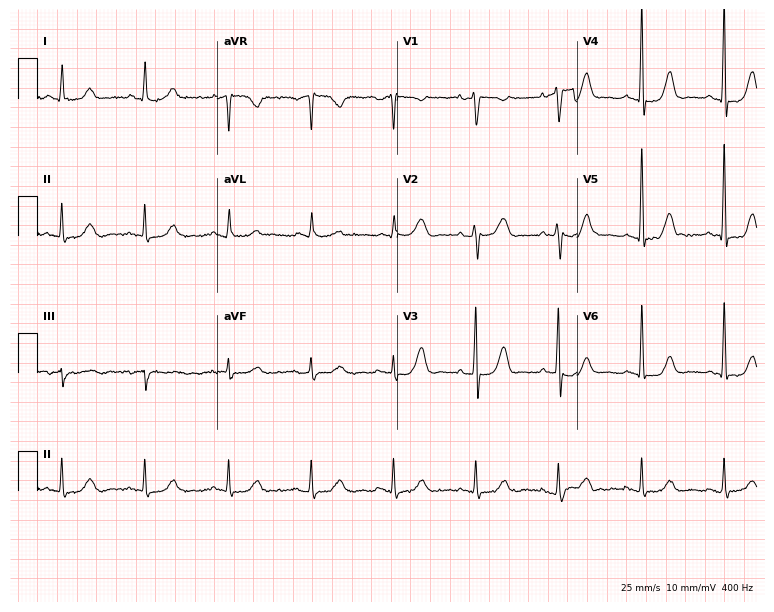
Resting 12-lead electrocardiogram (7.3-second recording at 400 Hz). Patient: a 71-year-old female. Read as a normal ECG.